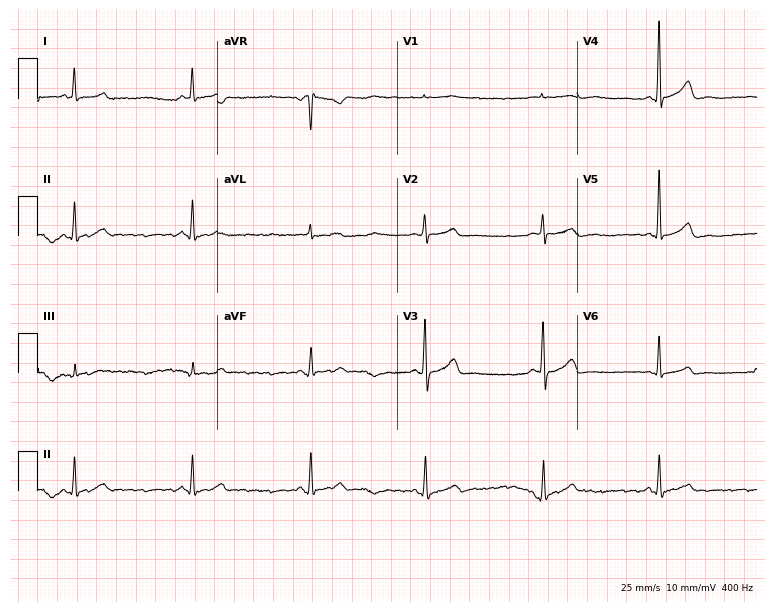
Standard 12-lead ECG recorded from a 52-year-old woman (7.3-second recording at 400 Hz). The tracing shows sinus bradycardia (a sinus rate of 50 beats per minute or less).